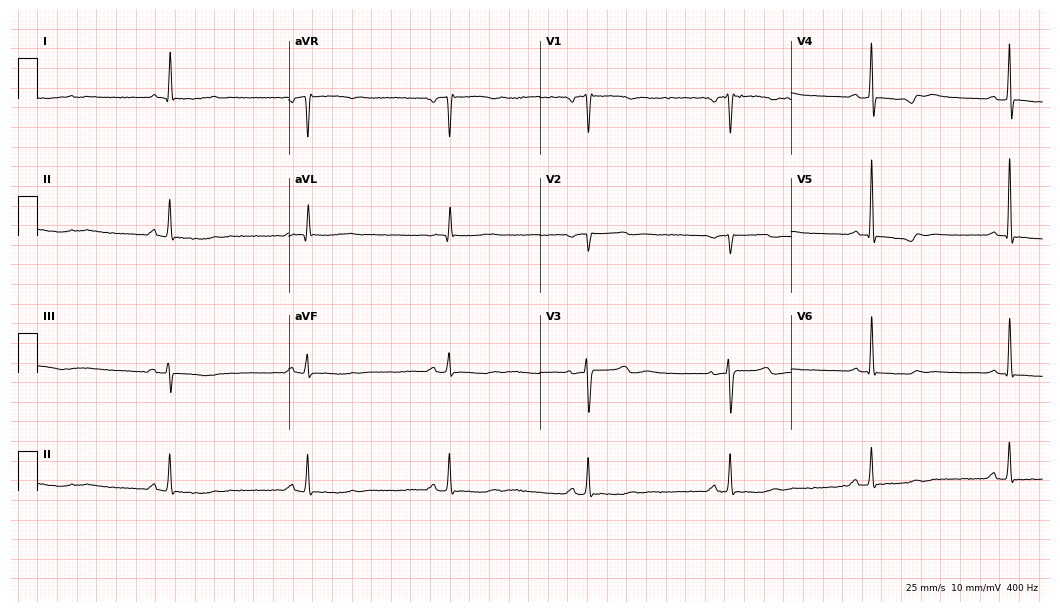
Resting 12-lead electrocardiogram. Patient: a woman, 62 years old. The tracing shows sinus bradycardia (a sinus rate of 50 beats per minute or less).